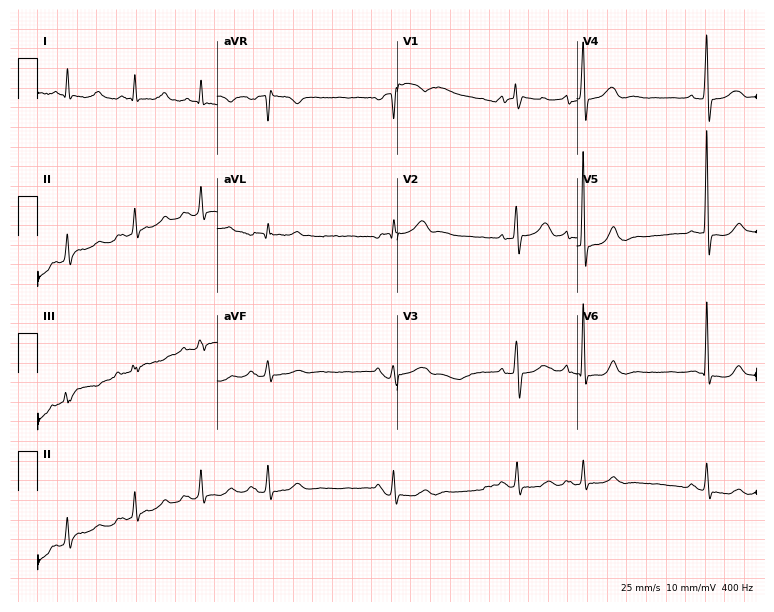
12-lead ECG from a 77-year-old man. Screened for six findings — first-degree AV block, right bundle branch block, left bundle branch block, sinus bradycardia, atrial fibrillation, sinus tachycardia — none is recorded. Findings outside these six are not listed.